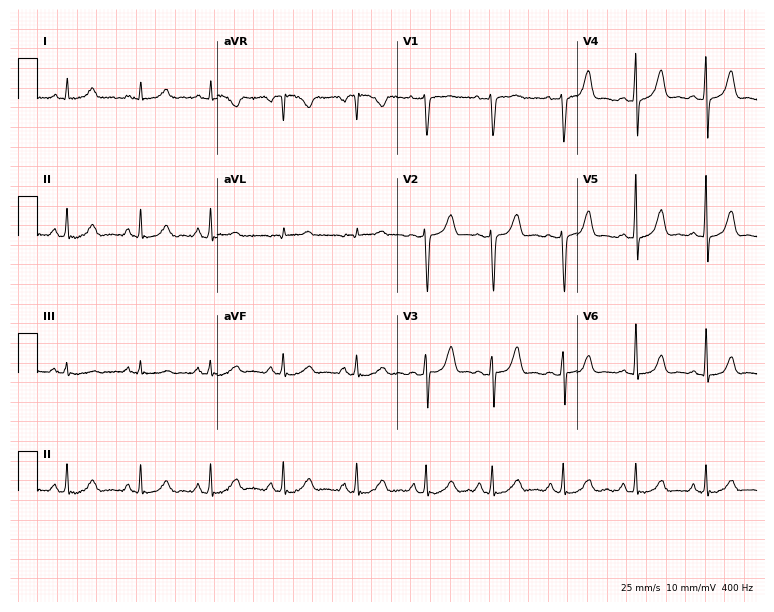
Resting 12-lead electrocardiogram (7.3-second recording at 400 Hz). Patient: a female, 36 years old. None of these six findings is recorded: first-degree AV block, right bundle branch block, left bundle branch block, sinus bradycardia, atrial fibrillation, sinus tachycardia.